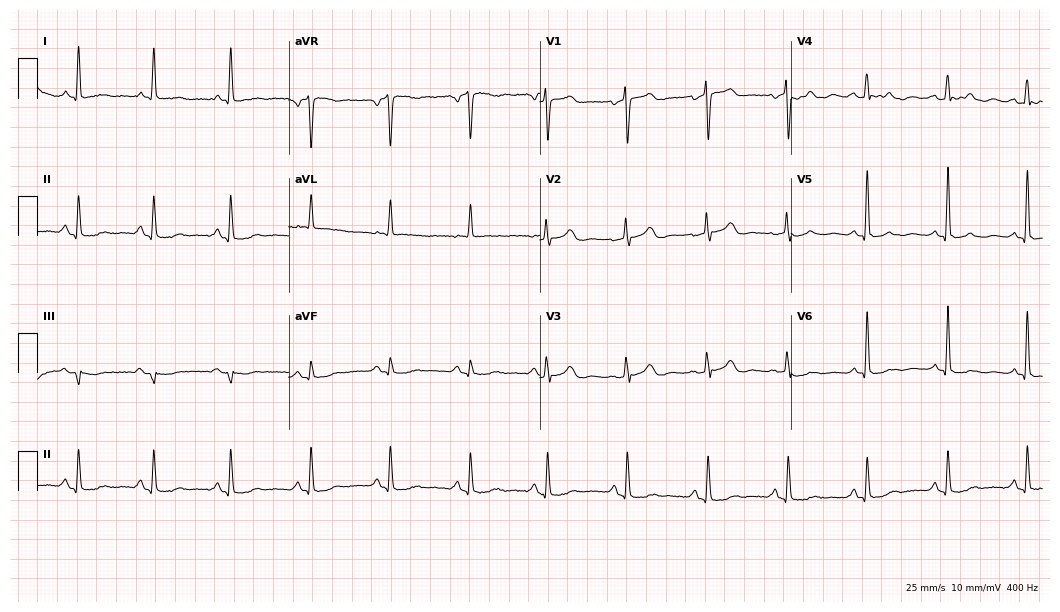
Resting 12-lead electrocardiogram (10.2-second recording at 400 Hz). Patient: a 74-year-old woman. Read as a normal ECG.